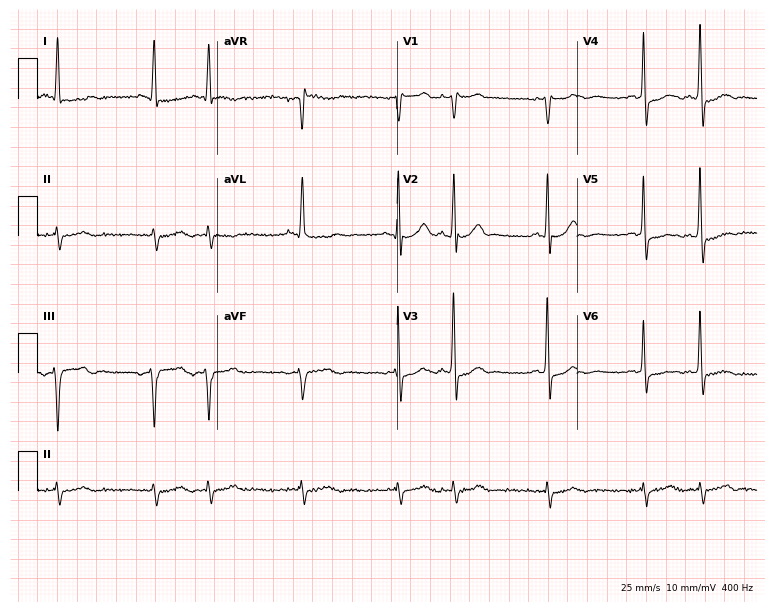
12-lead ECG (7.3-second recording at 400 Hz) from a man, 85 years old. Screened for six findings — first-degree AV block, right bundle branch block, left bundle branch block, sinus bradycardia, atrial fibrillation, sinus tachycardia — none is recorded.